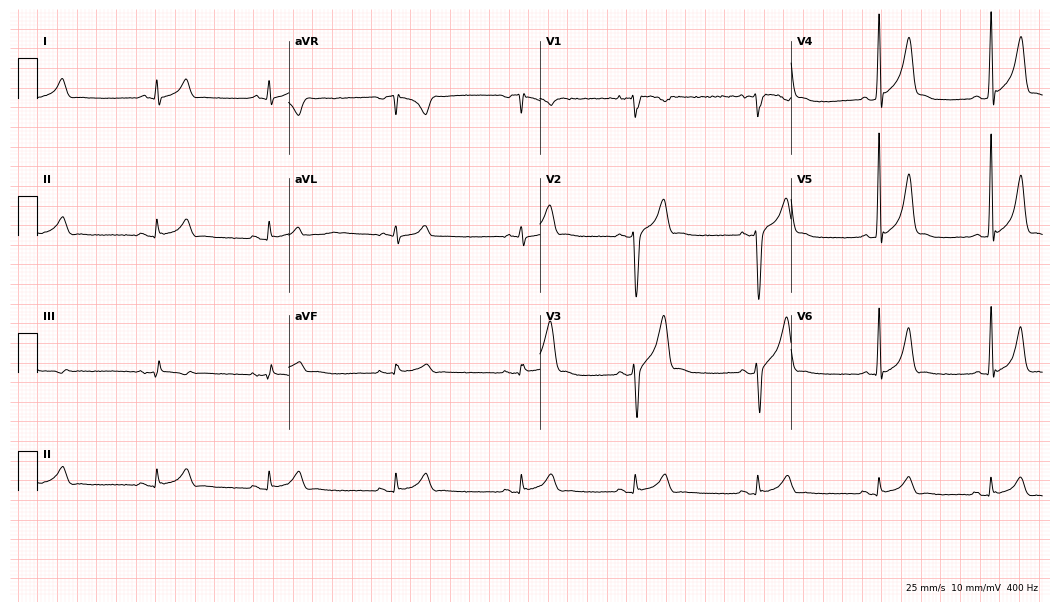
Electrocardiogram, a male patient, 24 years old. Of the six screened findings (first-degree AV block, right bundle branch block (RBBB), left bundle branch block (LBBB), sinus bradycardia, atrial fibrillation (AF), sinus tachycardia), none is recorded. Other findings, if any, are not listed.